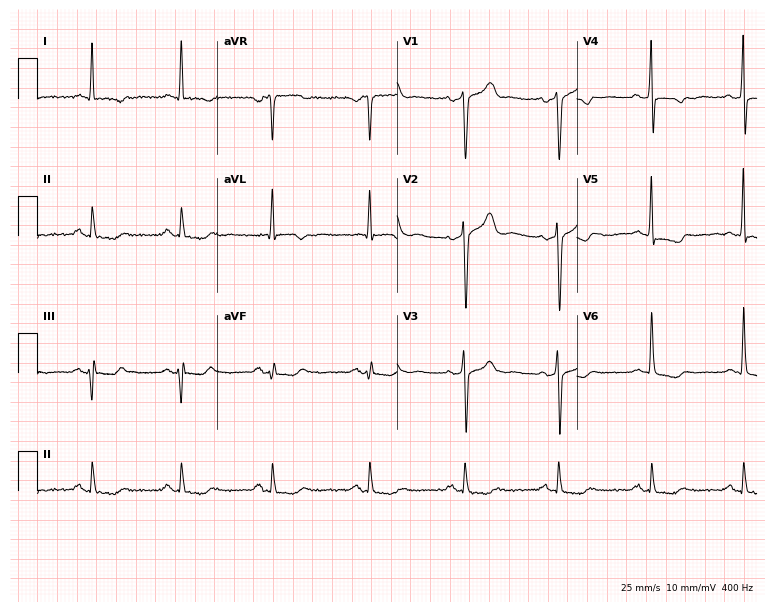
Standard 12-lead ECG recorded from a 64-year-old man. None of these six findings is recorded: first-degree AV block, right bundle branch block (RBBB), left bundle branch block (LBBB), sinus bradycardia, atrial fibrillation (AF), sinus tachycardia. Findings outside these six are not listed.